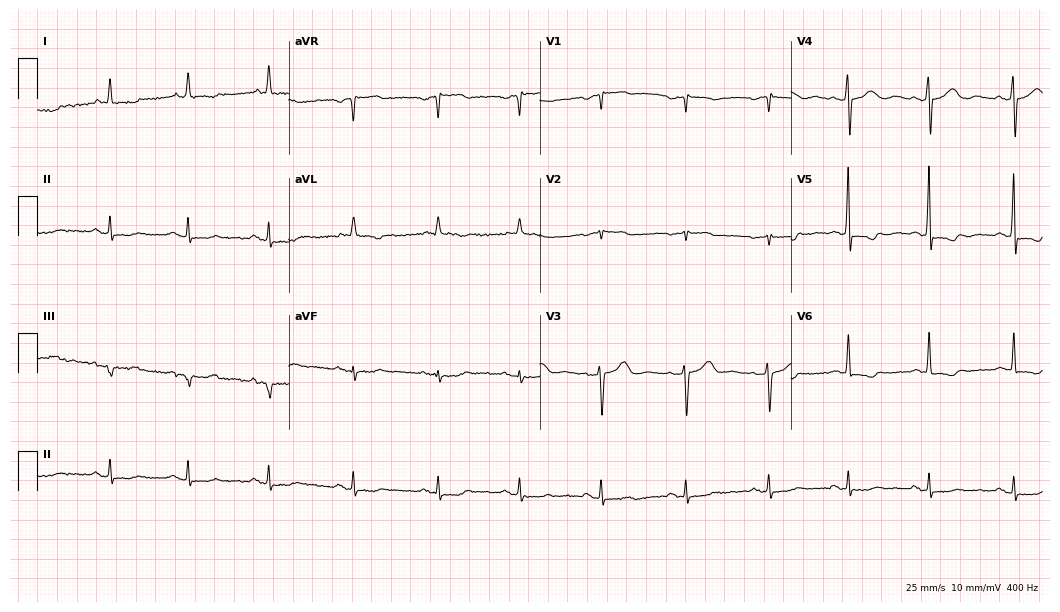
ECG (10.2-second recording at 400 Hz) — a 76-year-old female. Screened for six findings — first-degree AV block, right bundle branch block, left bundle branch block, sinus bradycardia, atrial fibrillation, sinus tachycardia — none is recorded.